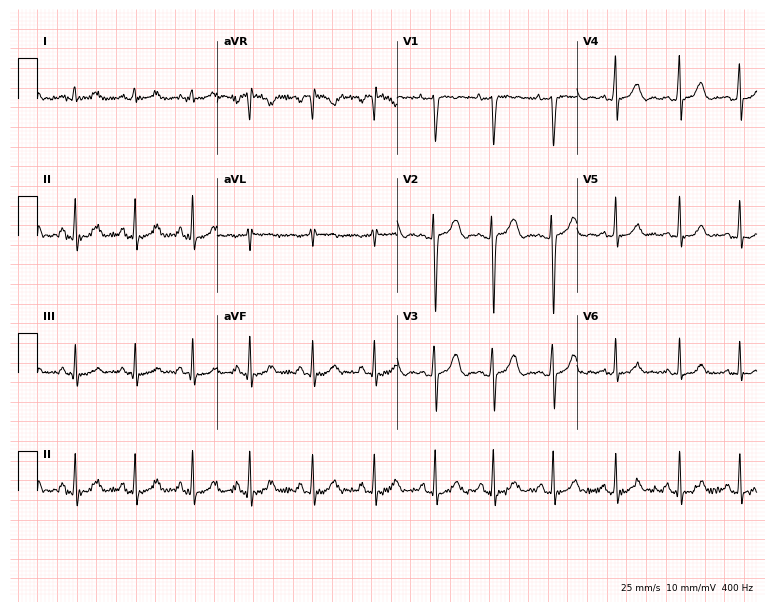
12-lead ECG from a female, 18 years old. Labelled as a normal ECG.